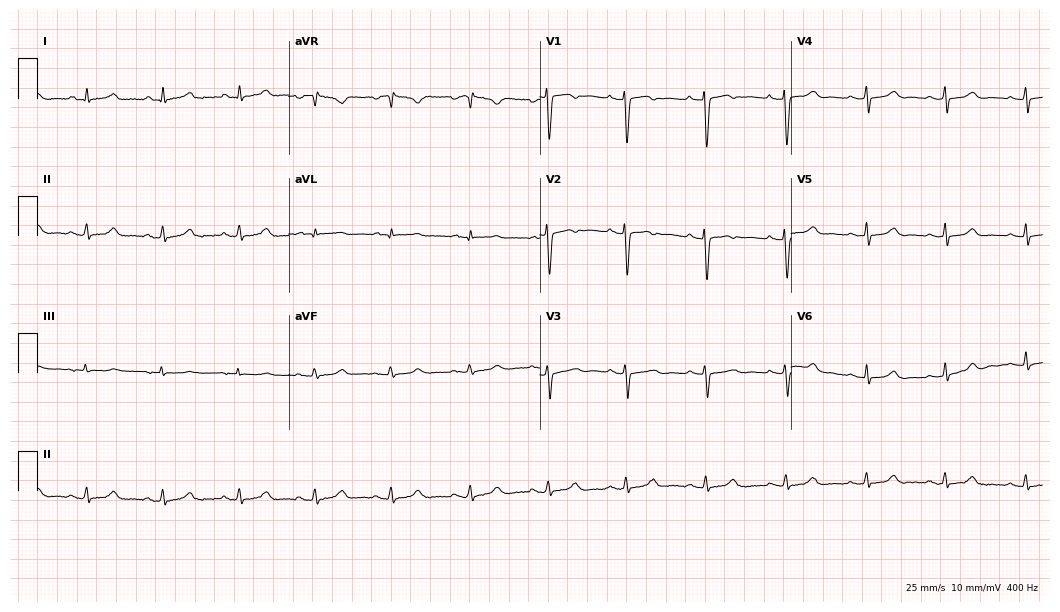
12-lead ECG from a 48-year-old woman (10.2-second recording at 400 Hz). Recorded interpretation: within normal limits.